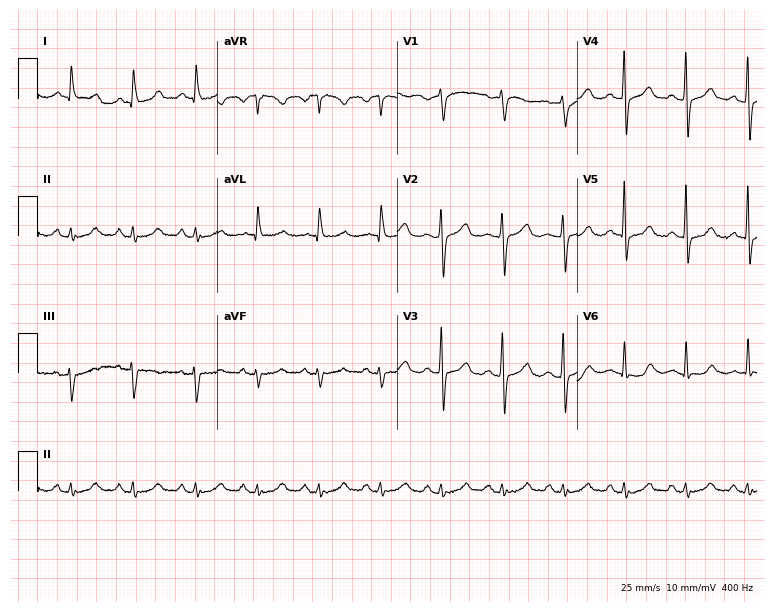
Standard 12-lead ECG recorded from a 65-year-old female patient (7.3-second recording at 400 Hz). None of these six findings is recorded: first-degree AV block, right bundle branch block, left bundle branch block, sinus bradycardia, atrial fibrillation, sinus tachycardia.